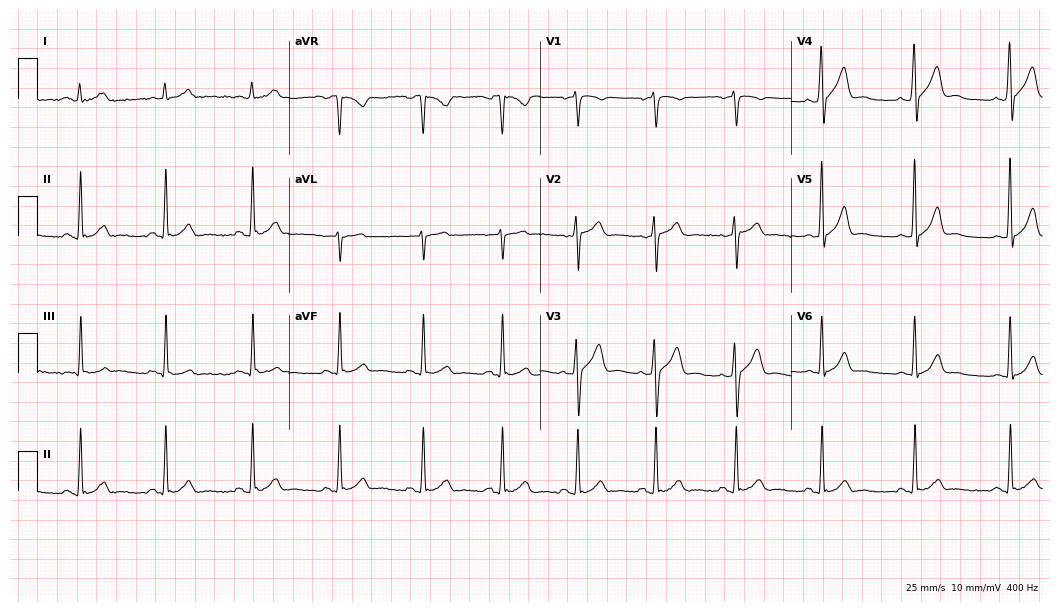
Standard 12-lead ECG recorded from a man, 50 years old. None of these six findings is recorded: first-degree AV block, right bundle branch block, left bundle branch block, sinus bradycardia, atrial fibrillation, sinus tachycardia.